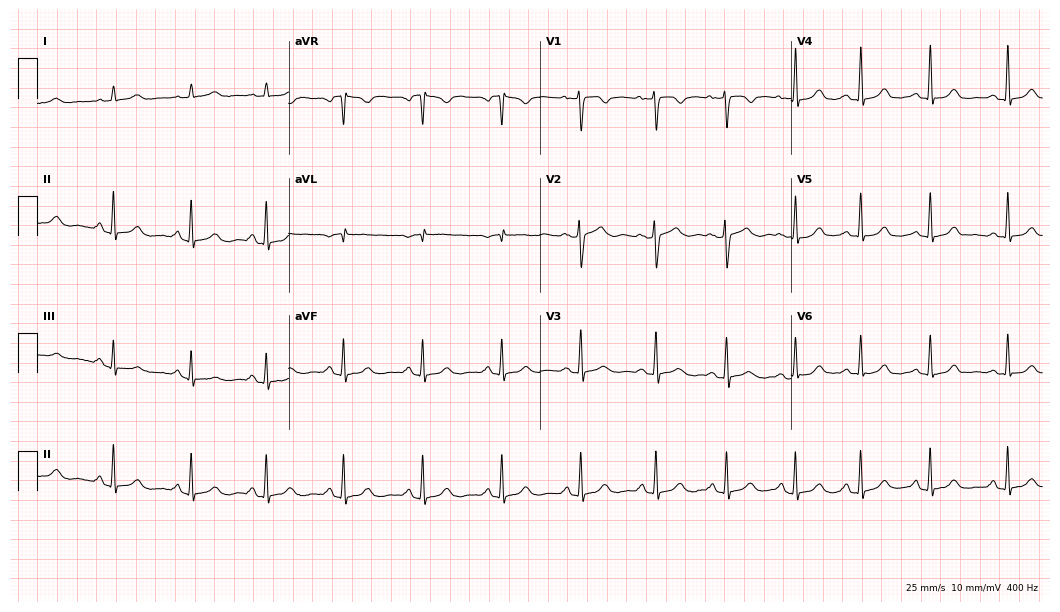
12-lead ECG from a female patient, 39 years old (10.2-second recording at 400 Hz). No first-degree AV block, right bundle branch block (RBBB), left bundle branch block (LBBB), sinus bradycardia, atrial fibrillation (AF) or sinus tachycardia recorded for this tracing. Other findings, if any, are not listed.